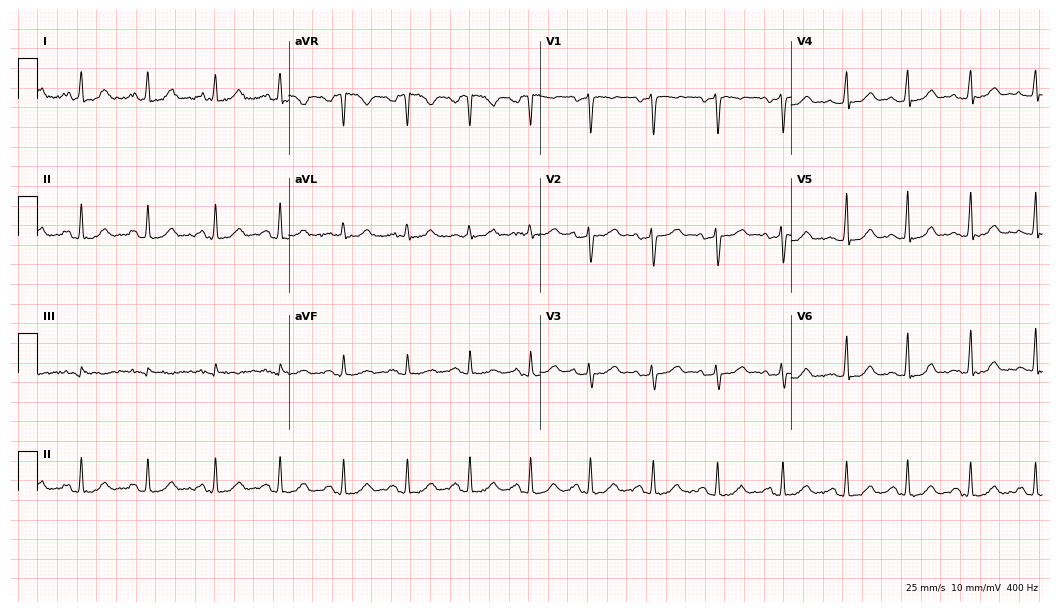
12-lead ECG from a 34-year-old female patient (10.2-second recording at 400 Hz). Recorded interpretation: within normal limits.